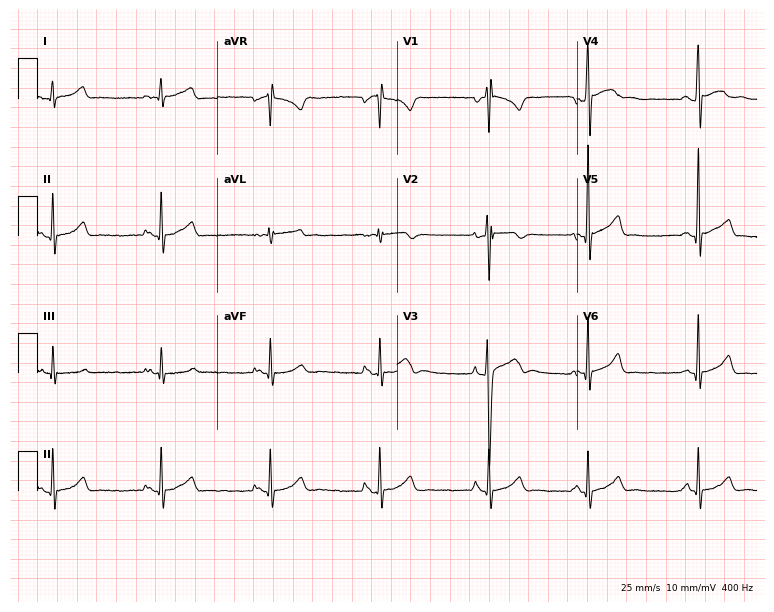
Standard 12-lead ECG recorded from a man, 27 years old (7.3-second recording at 400 Hz). None of these six findings is recorded: first-degree AV block, right bundle branch block, left bundle branch block, sinus bradycardia, atrial fibrillation, sinus tachycardia. Findings outside these six are not listed.